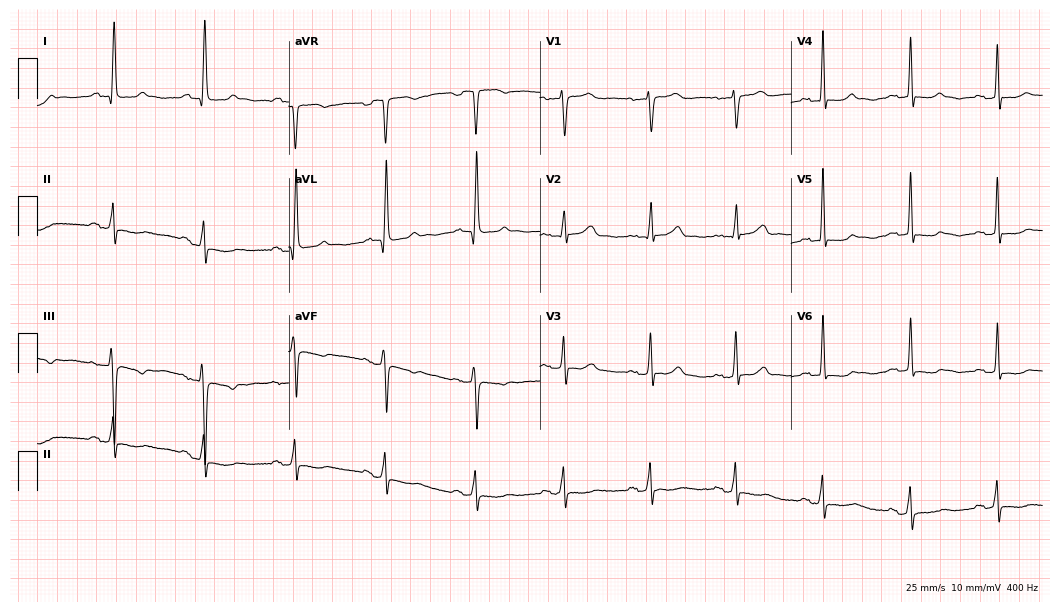
Electrocardiogram (10.2-second recording at 400 Hz), a 68-year-old woman. Of the six screened findings (first-degree AV block, right bundle branch block, left bundle branch block, sinus bradycardia, atrial fibrillation, sinus tachycardia), none is recorded.